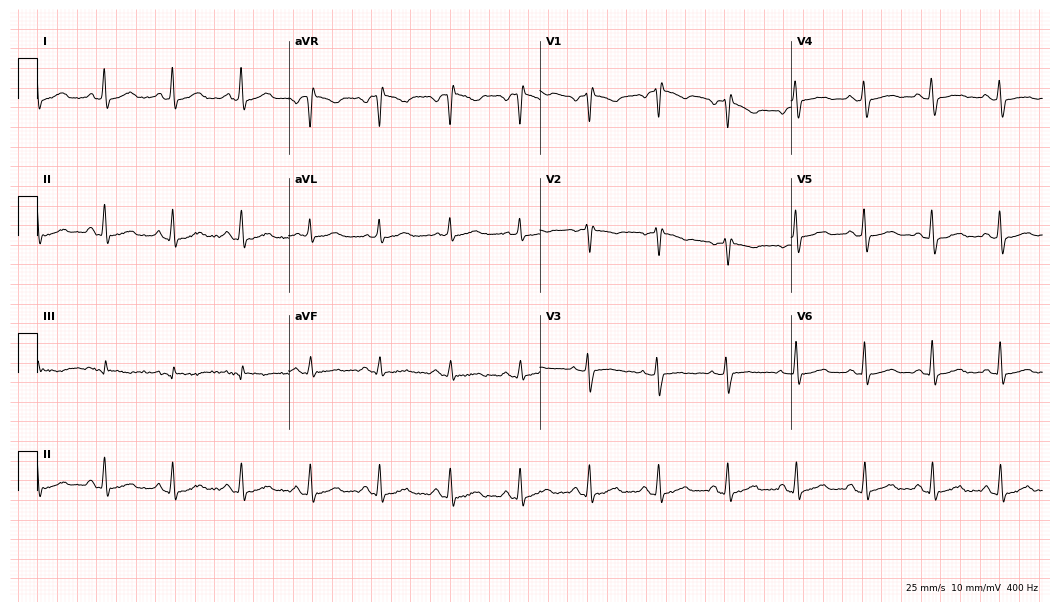
Electrocardiogram (10.2-second recording at 400 Hz), a 49-year-old woman. Overall reading on record: normal ECG.